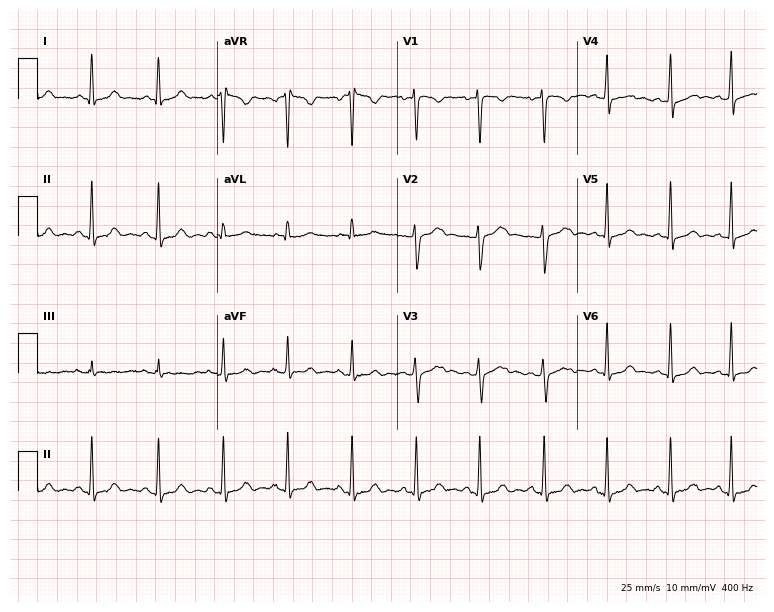
ECG — a female patient, 24 years old. Labelled as a normal ECG.